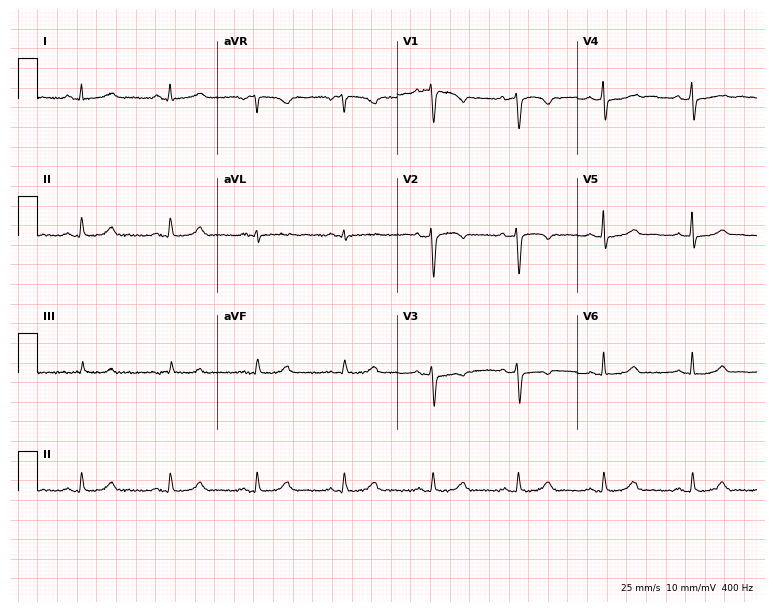
Electrocardiogram, a female, 45 years old. Of the six screened findings (first-degree AV block, right bundle branch block, left bundle branch block, sinus bradycardia, atrial fibrillation, sinus tachycardia), none is recorded.